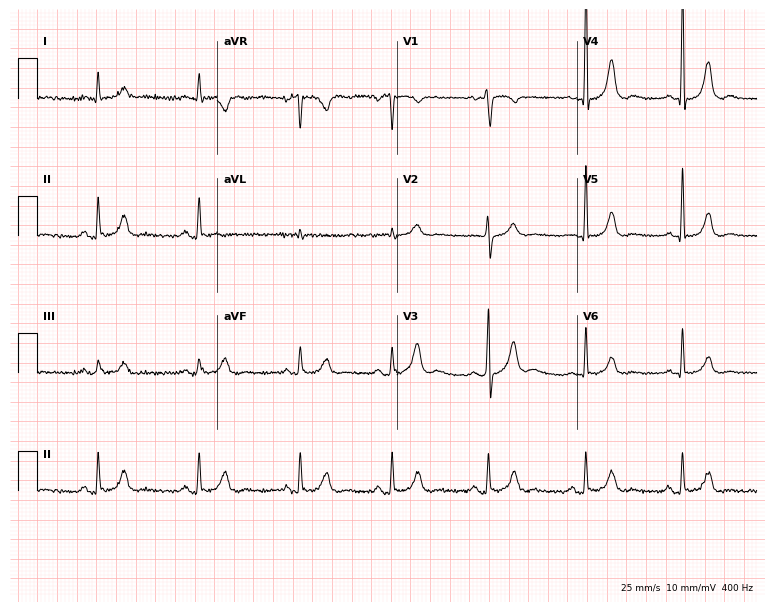
Standard 12-lead ECG recorded from a male, 72 years old. Read as a normal ECG.